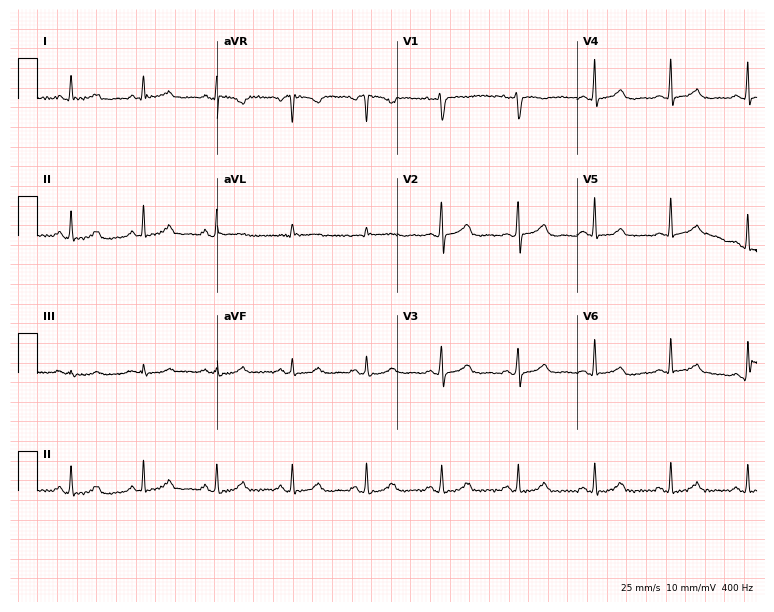
Resting 12-lead electrocardiogram (7.3-second recording at 400 Hz). Patient: a female, 62 years old. Read as a normal ECG.